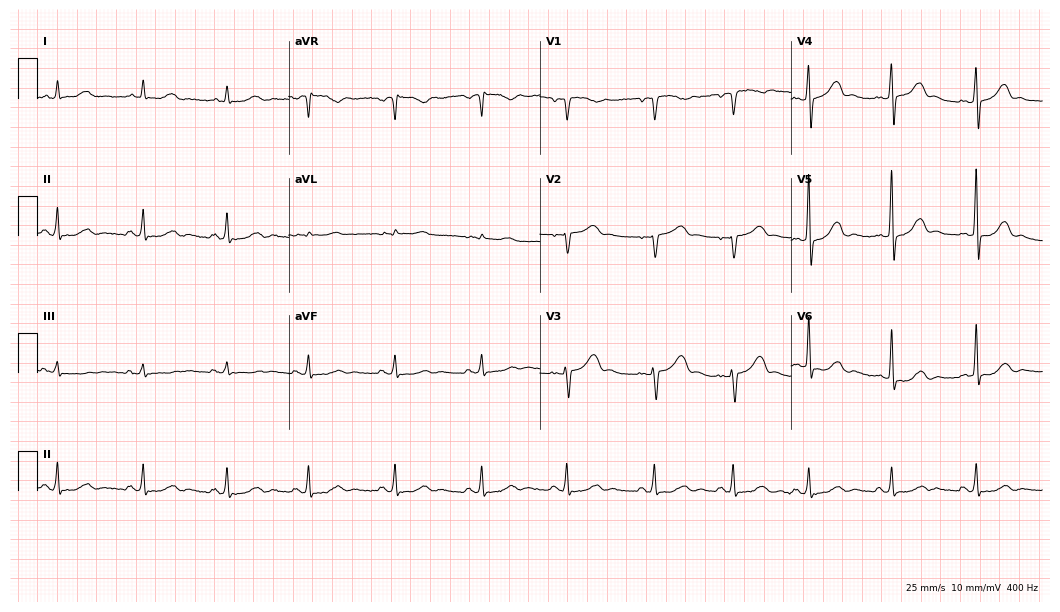
12-lead ECG (10.2-second recording at 400 Hz) from a 39-year-old female patient. Labelled as a normal ECG.